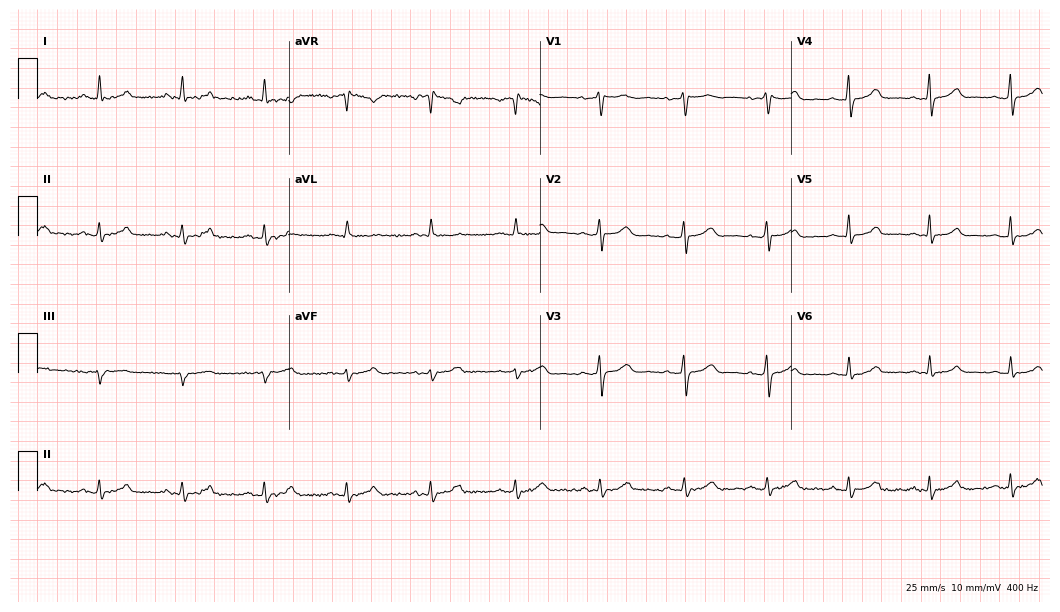
Standard 12-lead ECG recorded from a female, 50 years old. Read as a normal ECG.